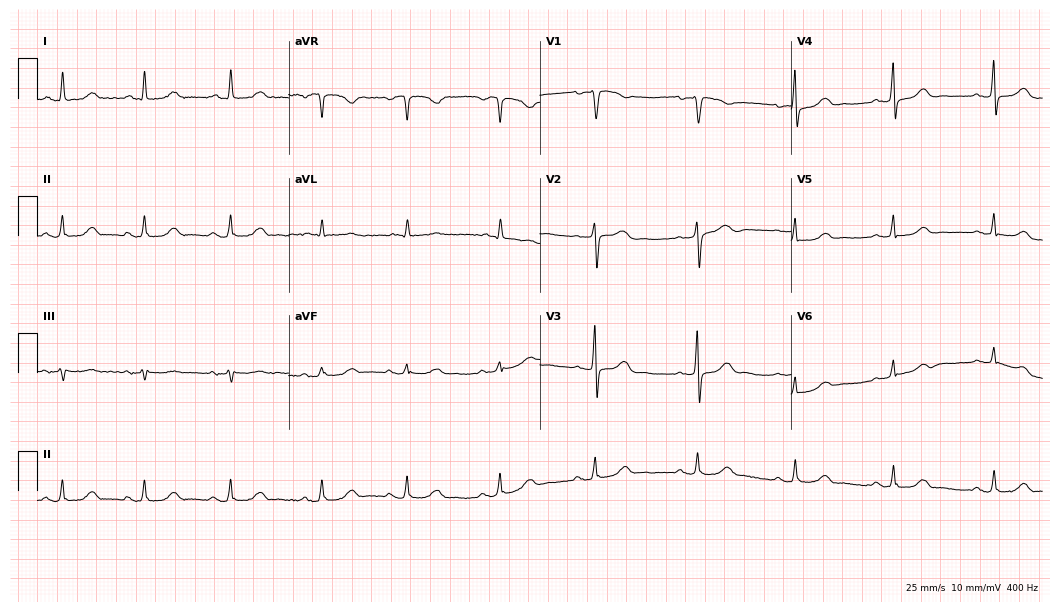
ECG — a woman, 59 years old. Labelled as a normal ECG.